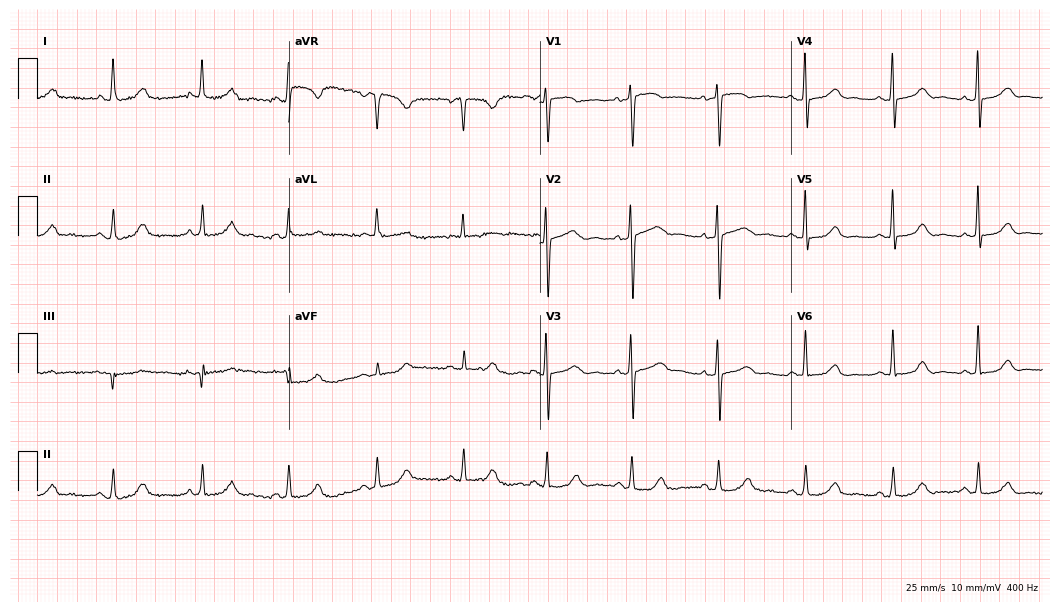
ECG (10.2-second recording at 400 Hz) — a 60-year-old female patient. Labelled as a normal ECG.